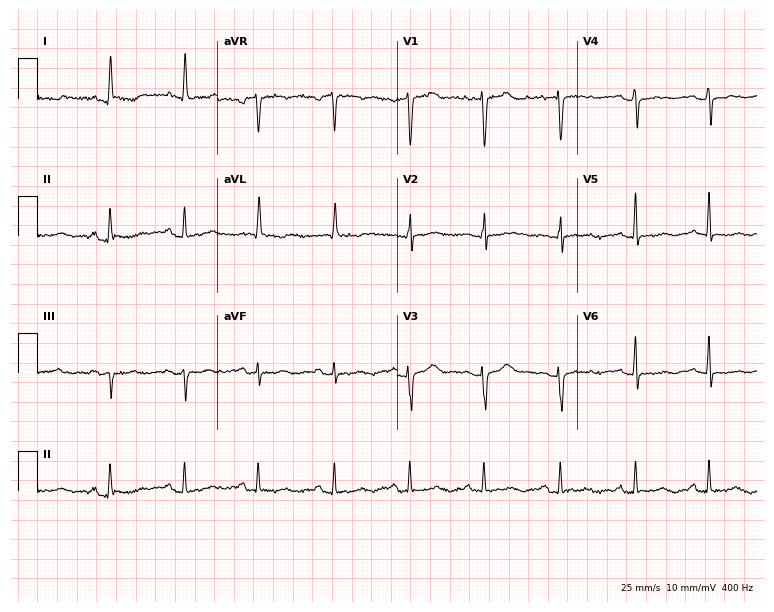
12-lead ECG (7.3-second recording at 400 Hz) from a woman, 78 years old. Screened for six findings — first-degree AV block, right bundle branch block, left bundle branch block, sinus bradycardia, atrial fibrillation, sinus tachycardia — none is recorded. Findings outside these six are not listed.